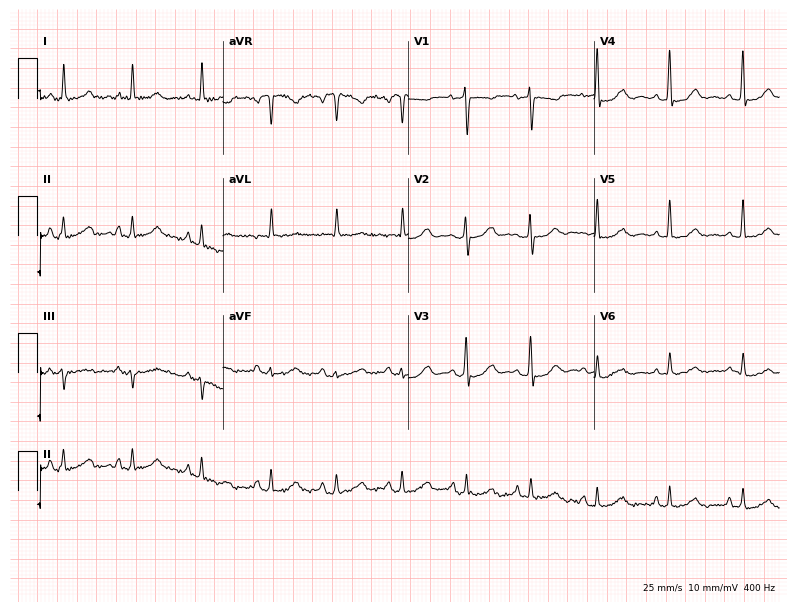
ECG — a 55-year-old female. Screened for six findings — first-degree AV block, right bundle branch block, left bundle branch block, sinus bradycardia, atrial fibrillation, sinus tachycardia — none is recorded. Only these six findings were labelled.